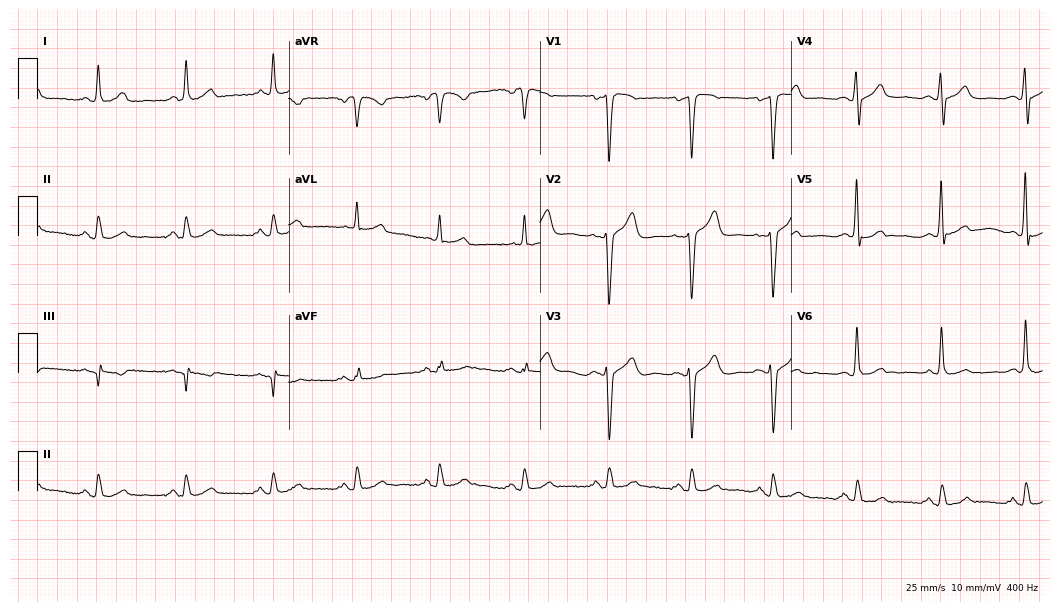
12-lead ECG (10.2-second recording at 400 Hz) from a male, 55 years old. Screened for six findings — first-degree AV block, right bundle branch block, left bundle branch block, sinus bradycardia, atrial fibrillation, sinus tachycardia — none is recorded.